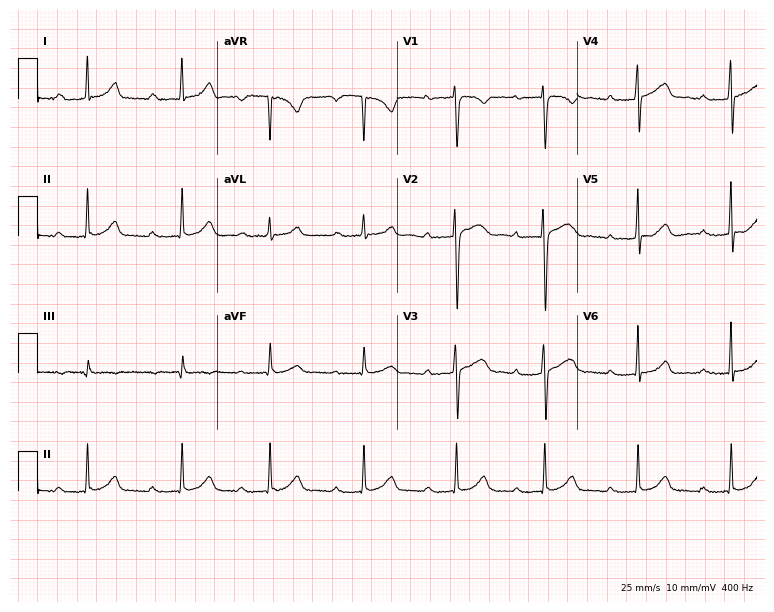
Standard 12-lead ECG recorded from a 25-year-old woman. The tracing shows first-degree AV block.